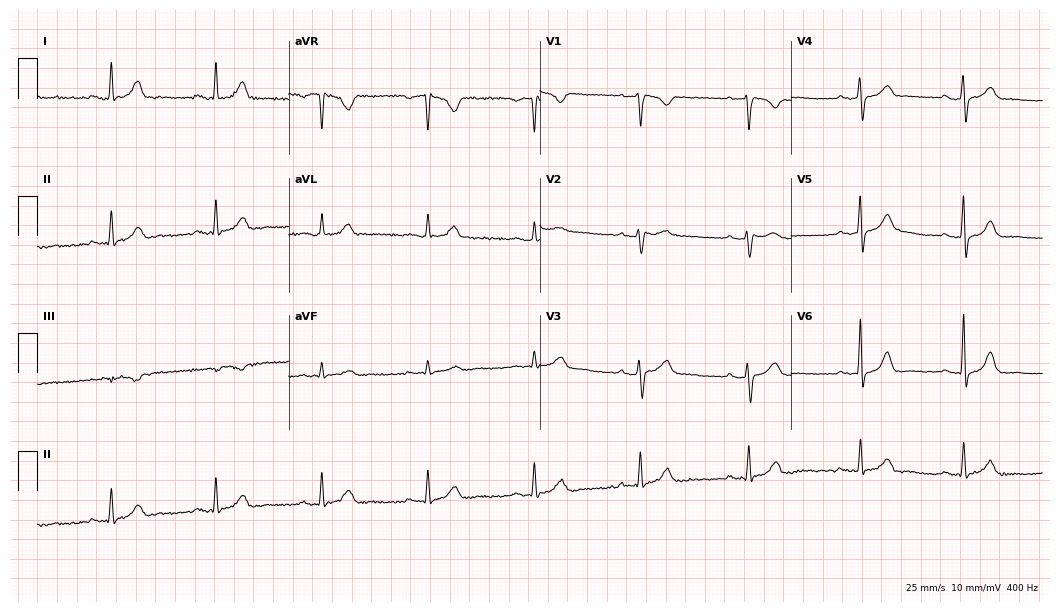
Resting 12-lead electrocardiogram (10.2-second recording at 400 Hz). Patient: a 42-year-old female. Read as a normal ECG.